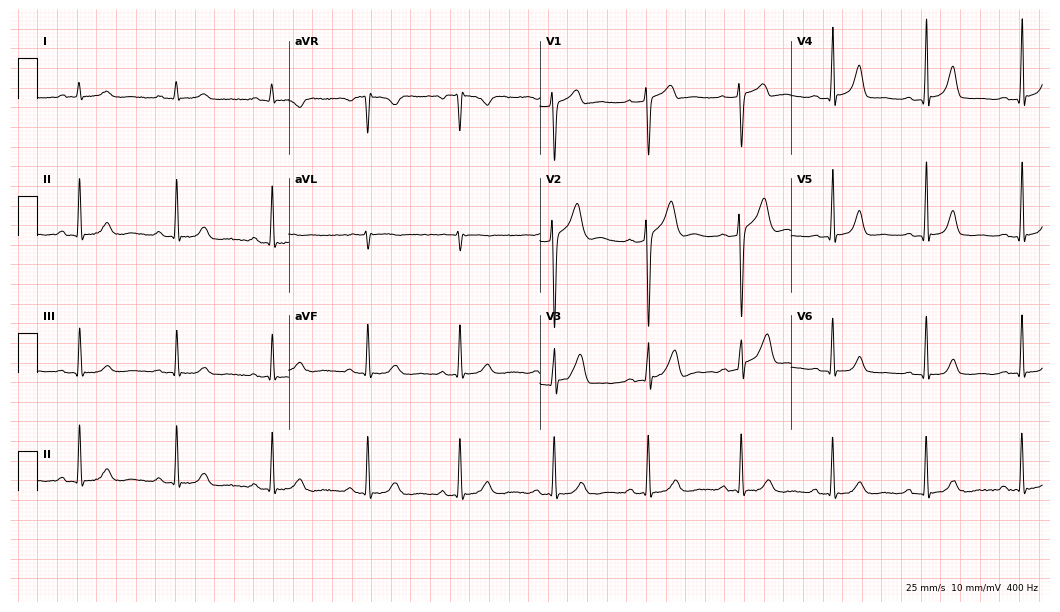
12-lead ECG from a 35-year-old male patient. No first-degree AV block, right bundle branch block (RBBB), left bundle branch block (LBBB), sinus bradycardia, atrial fibrillation (AF) or sinus tachycardia recorded for this tracing.